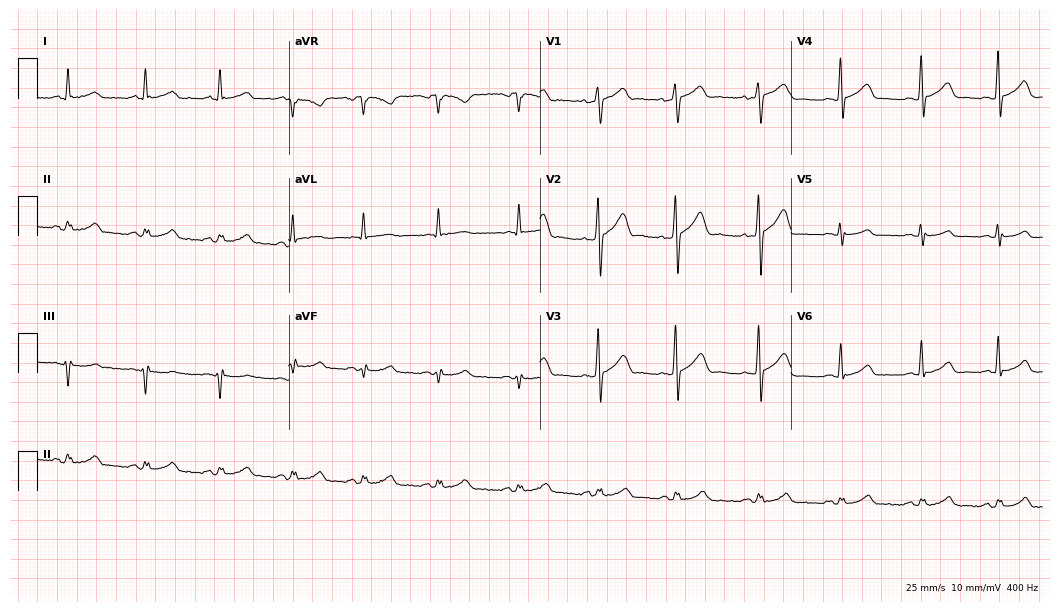
12-lead ECG from a 45-year-old male patient. Recorded interpretation: within normal limits.